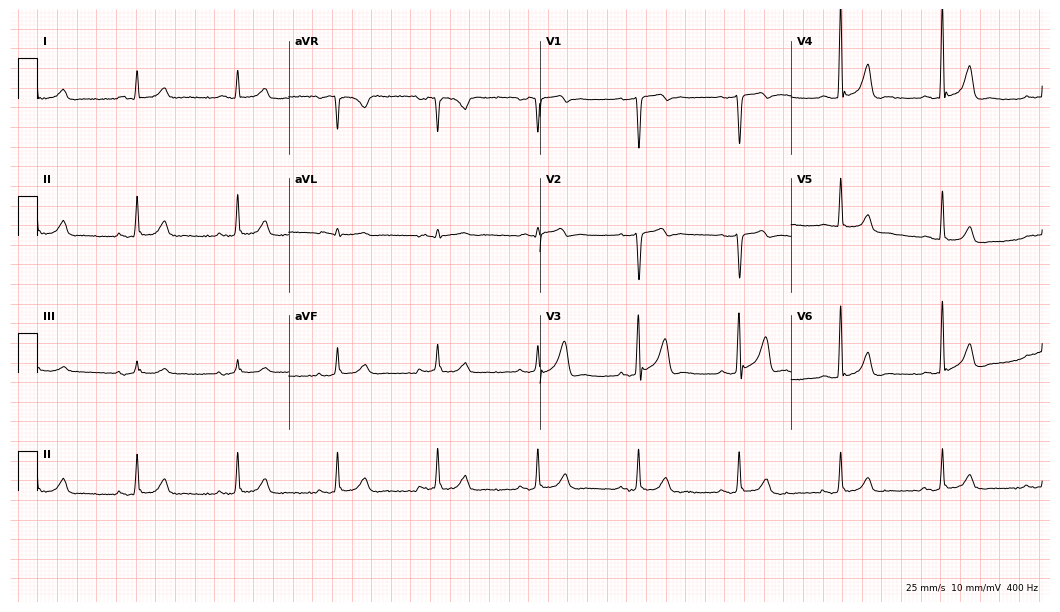
12-lead ECG (10.2-second recording at 400 Hz) from a 50-year-old male. Screened for six findings — first-degree AV block, right bundle branch block, left bundle branch block, sinus bradycardia, atrial fibrillation, sinus tachycardia — none is recorded. Findings outside these six are not listed.